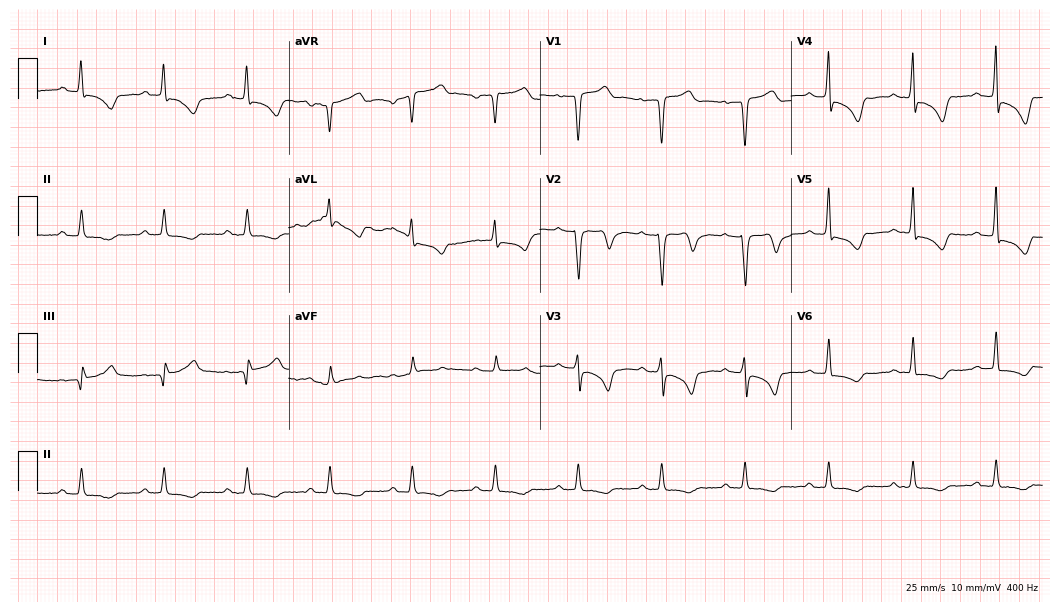
12-lead ECG from a man, 53 years old (10.2-second recording at 400 Hz). No first-degree AV block, right bundle branch block (RBBB), left bundle branch block (LBBB), sinus bradycardia, atrial fibrillation (AF) or sinus tachycardia recorded for this tracing.